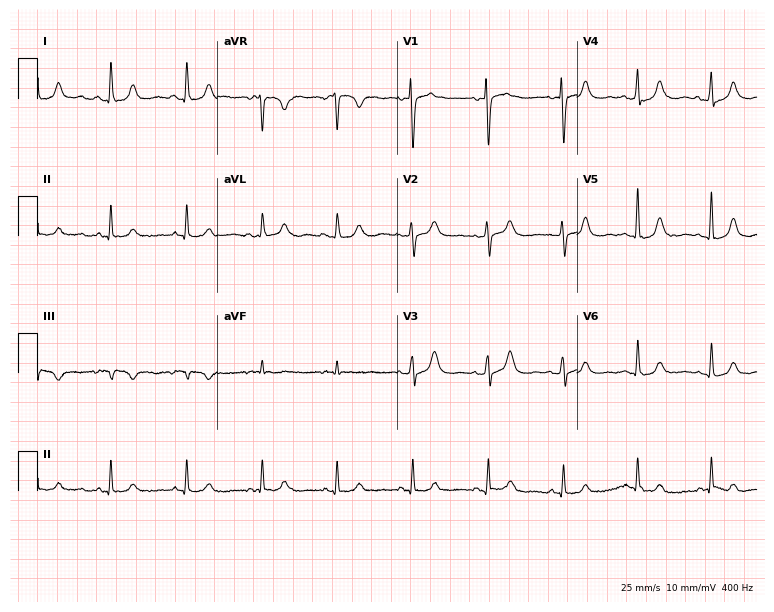
Resting 12-lead electrocardiogram. Patient: an 80-year-old woman. Read as a normal ECG.